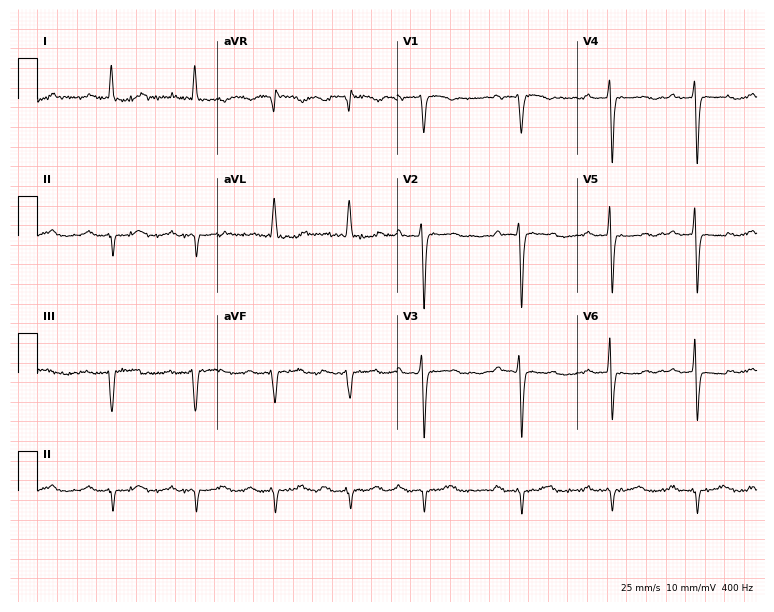
Resting 12-lead electrocardiogram (7.3-second recording at 400 Hz). Patient: a 75-year-old female. None of these six findings is recorded: first-degree AV block, right bundle branch block (RBBB), left bundle branch block (LBBB), sinus bradycardia, atrial fibrillation (AF), sinus tachycardia. Only these six findings were labelled.